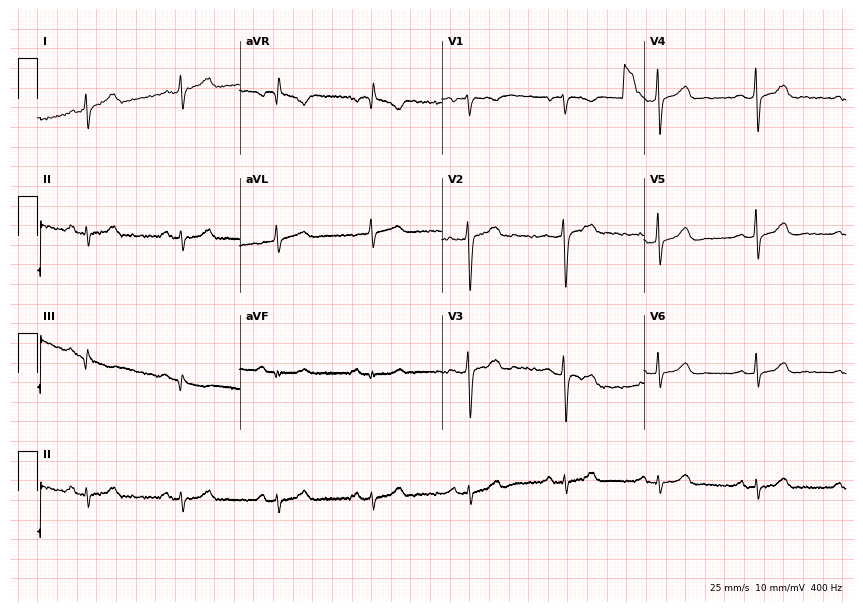
Standard 12-lead ECG recorded from a 41-year-old male patient. None of these six findings is recorded: first-degree AV block, right bundle branch block, left bundle branch block, sinus bradycardia, atrial fibrillation, sinus tachycardia. Only these six findings were labelled.